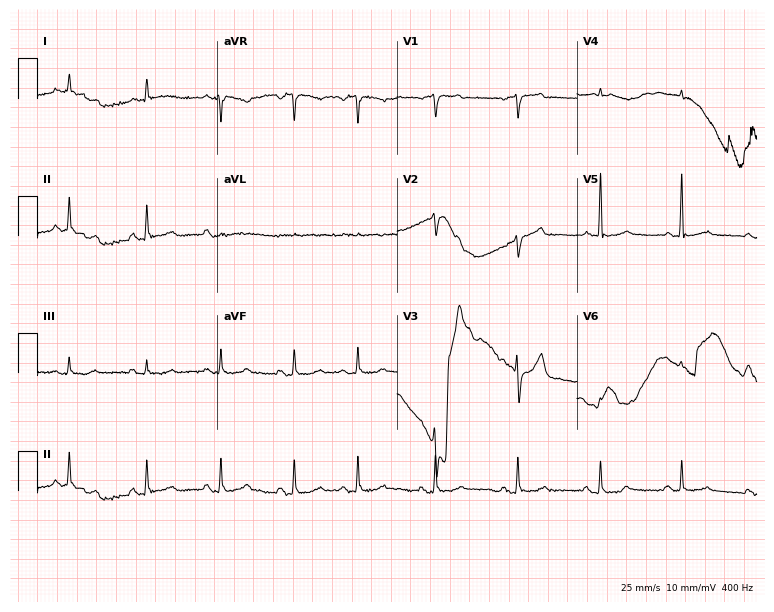
12-lead ECG from an 83-year-old man. Labelled as a normal ECG.